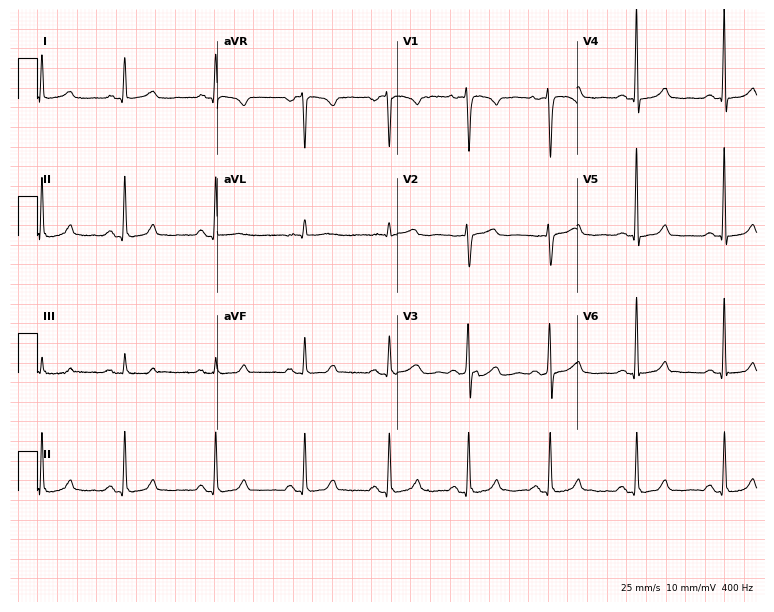
Resting 12-lead electrocardiogram. Patient: a woman, 59 years old. Read as a normal ECG.